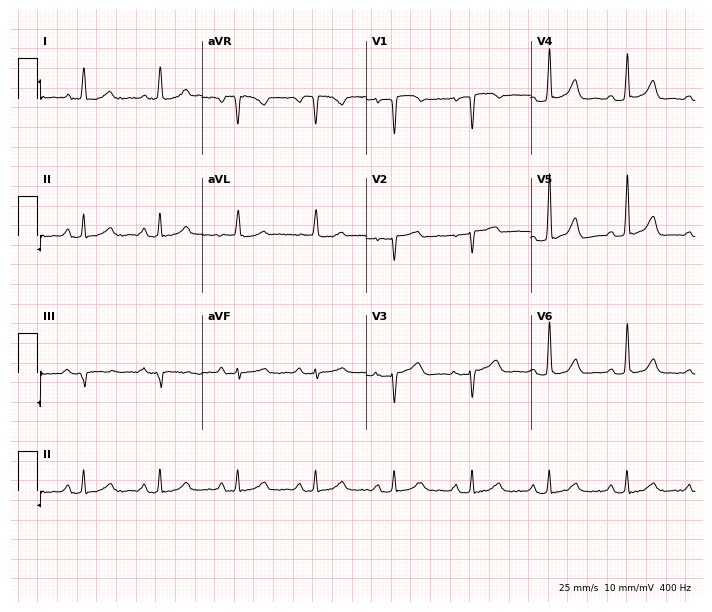
Resting 12-lead electrocardiogram (6.7-second recording at 400 Hz). Patient: a 55-year-old female. None of these six findings is recorded: first-degree AV block, right bundle branch block (RBBB), left bundle branch block (LBBB), sinus bradycardia, atrial fibrillation (AF), sinus tachycardia.